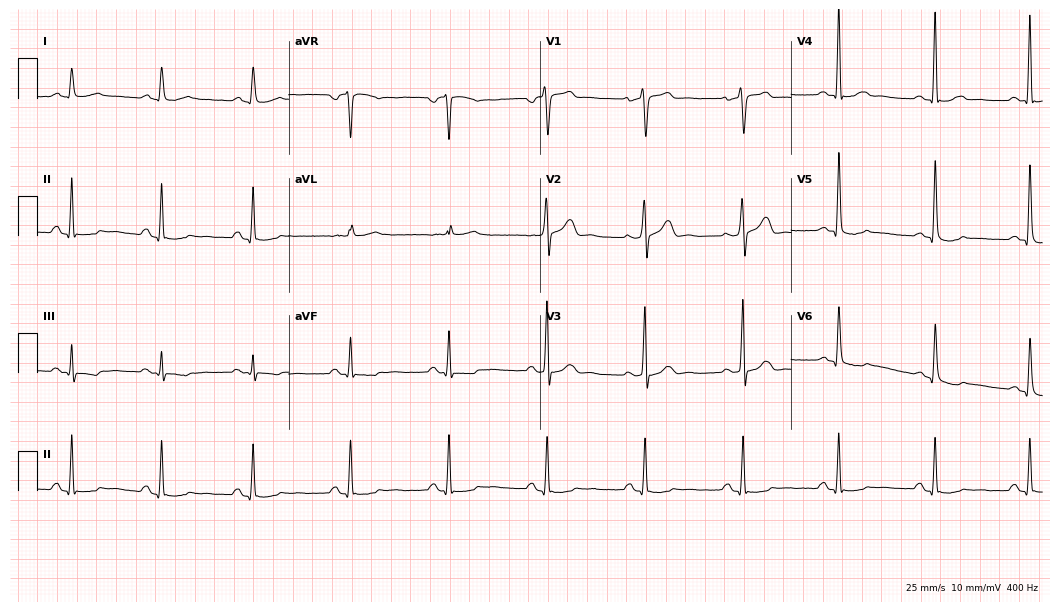
Electrocardiogram, a male patient, 58 years old. Of the six screened findings (first-degree AV block, right bundle branch block (RBBB), left bundle branch block (LBBB), sinus bradycardia, atrial fibrillation (AF), sinus tachycardia), none is recorded.